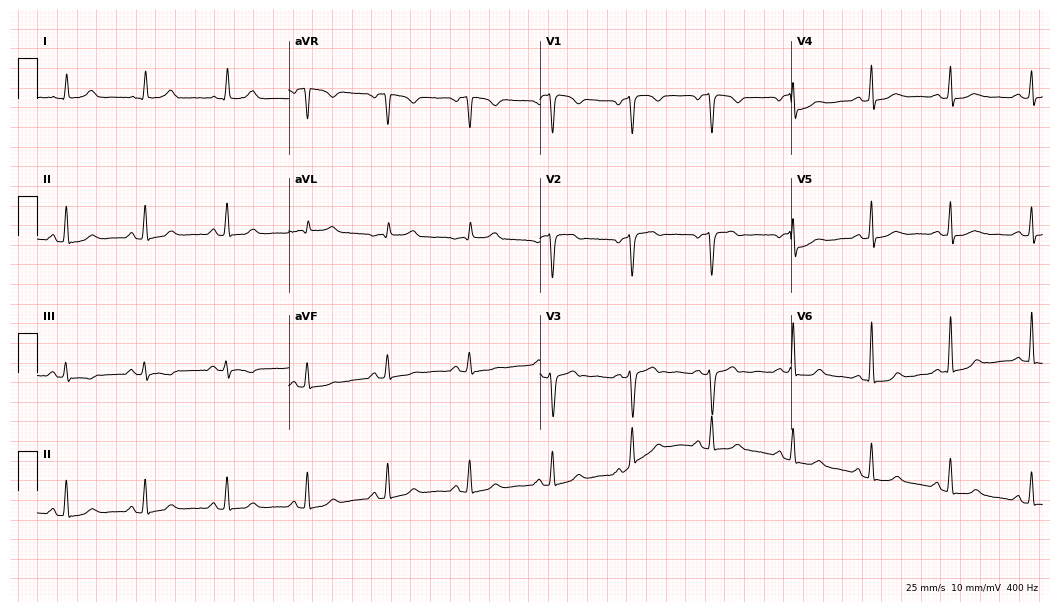
Standard 12-lead ECG recorded from a female patient, 45 years old. Read as a normal ECG.